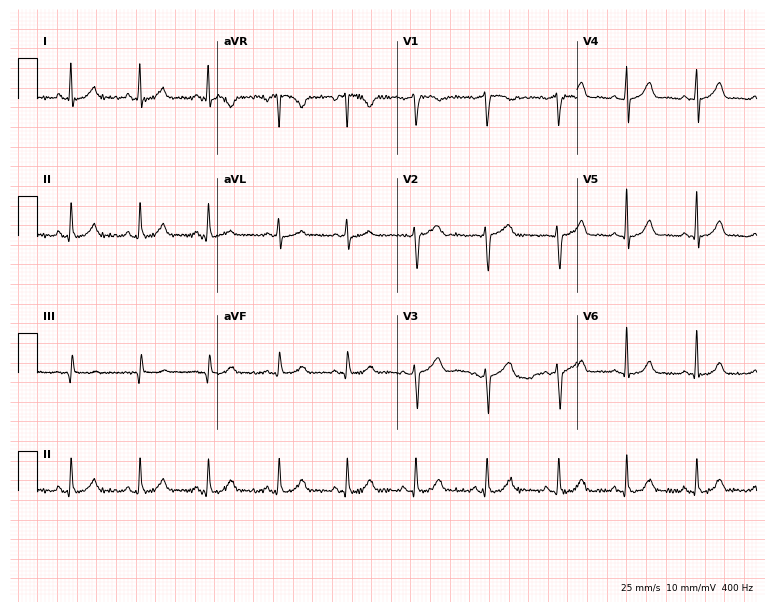
Resting 12-lead electrocardiogram. Patient: a female, 37 years old. Read as a normal ECG.